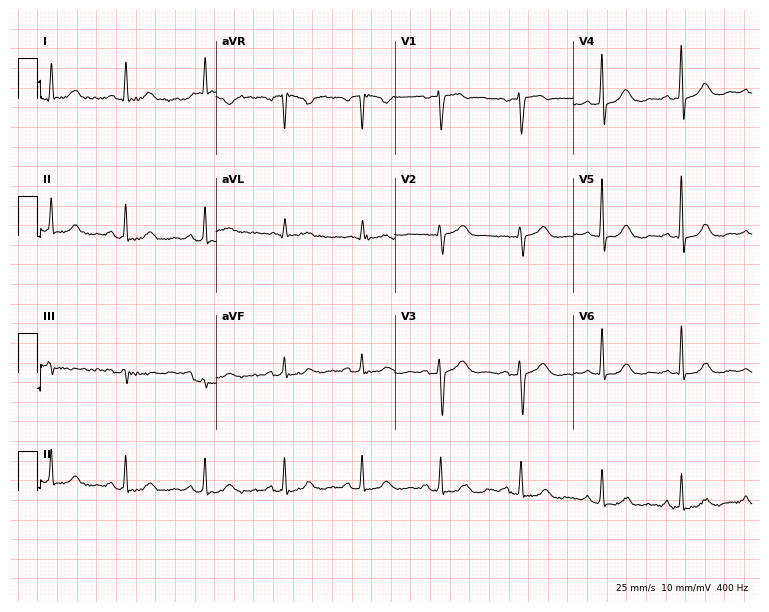
Resting 12-lead electrocardiogram. Patient: a female, 62 years old. None of these six findings is recorded: first-degree AV block, right bundle branch block (RBBB), left bundle branch block (LBBB), sinus bradycardia, atrial fibrillation (AF), sinus tachycardia.